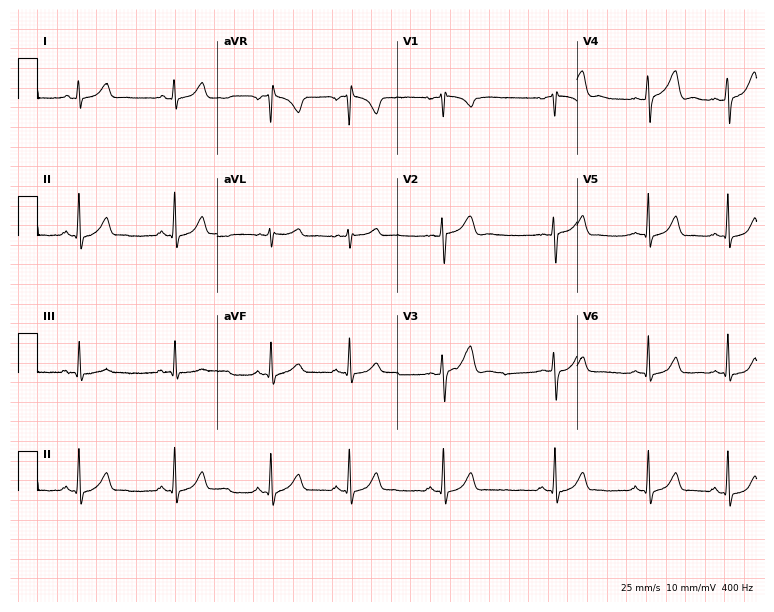
Resting 12-lead electrocardiogram. Patient: a female, 23 years old. None of these six findings is recorded: first-degree AV block, right bundle branch block (RBBB), left bundle branch block (LBBB), sinus bradycardia, atrial fibrillation (AF), sinus tachycardia.